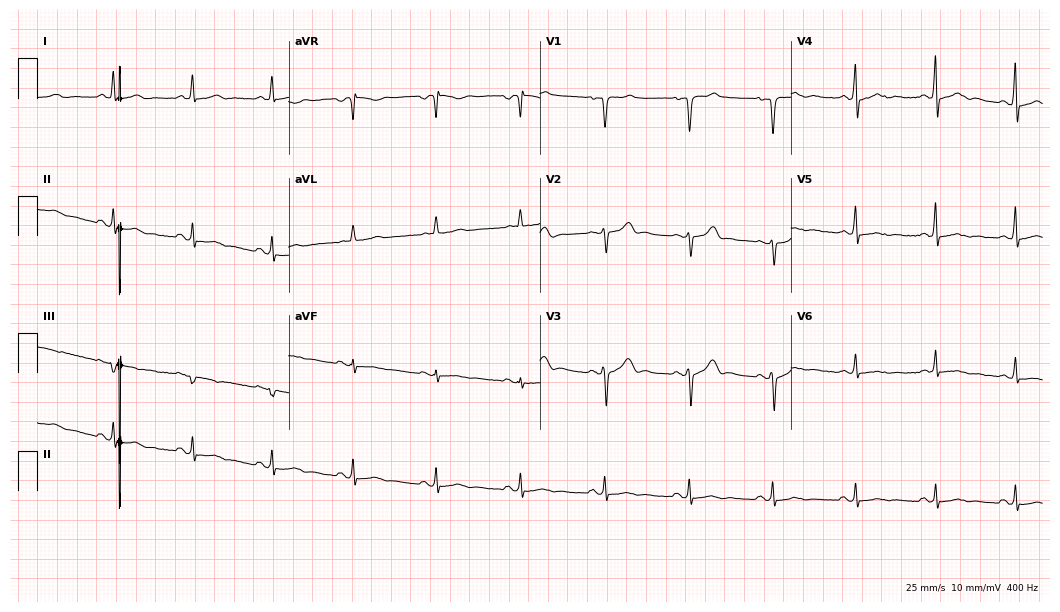
ECG — a 53-year-old man. Screened for six findings — first-degree AV block, right bundle branch block, left bundle branch block, sinus bradycardia, atrial fibrillation, sinus tachycardia — none is recorded.